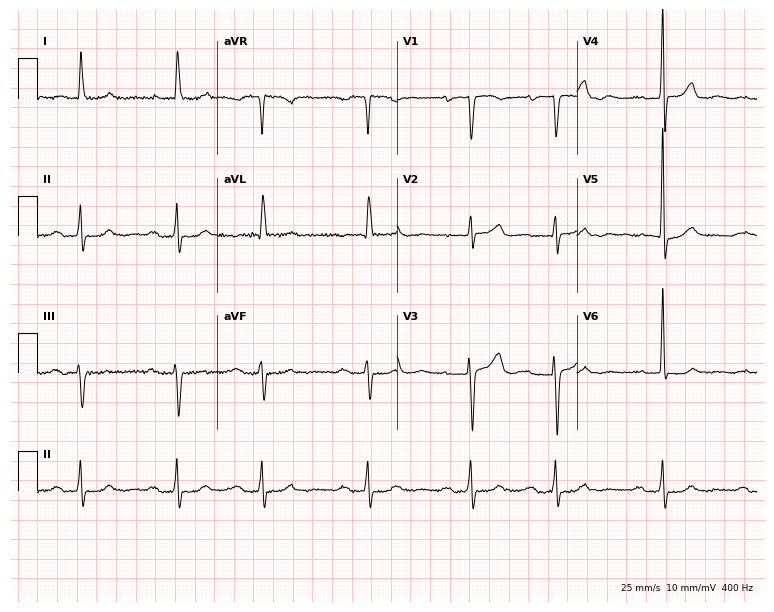
12-lead ECG from a woman, 81 years old. No first-degree AV block, right bundle branch block (RBBB), left bundle branch block (LBBB), sinus bradycardia, atrial fibrillation (AF) or sinus tachycardia recorded for this tracing.